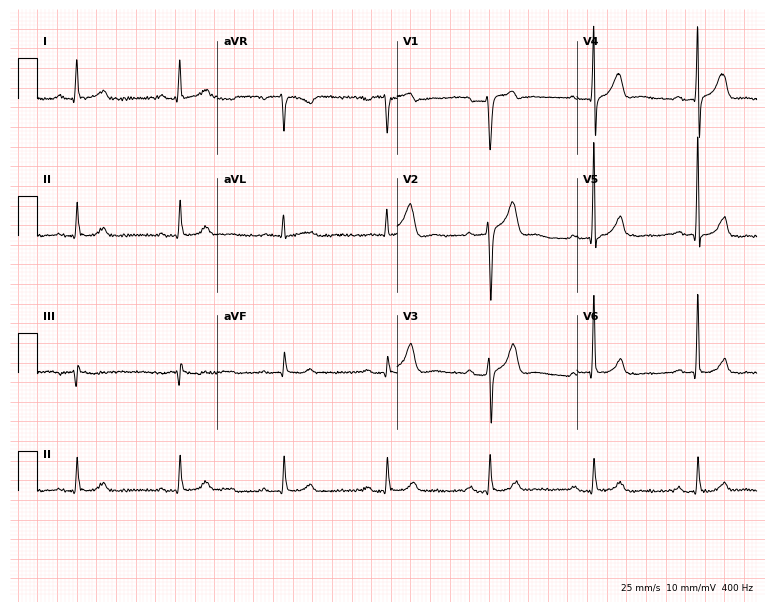
Electrocardiogram, a male, 79 years old. Overall reading on record: normal ECG.